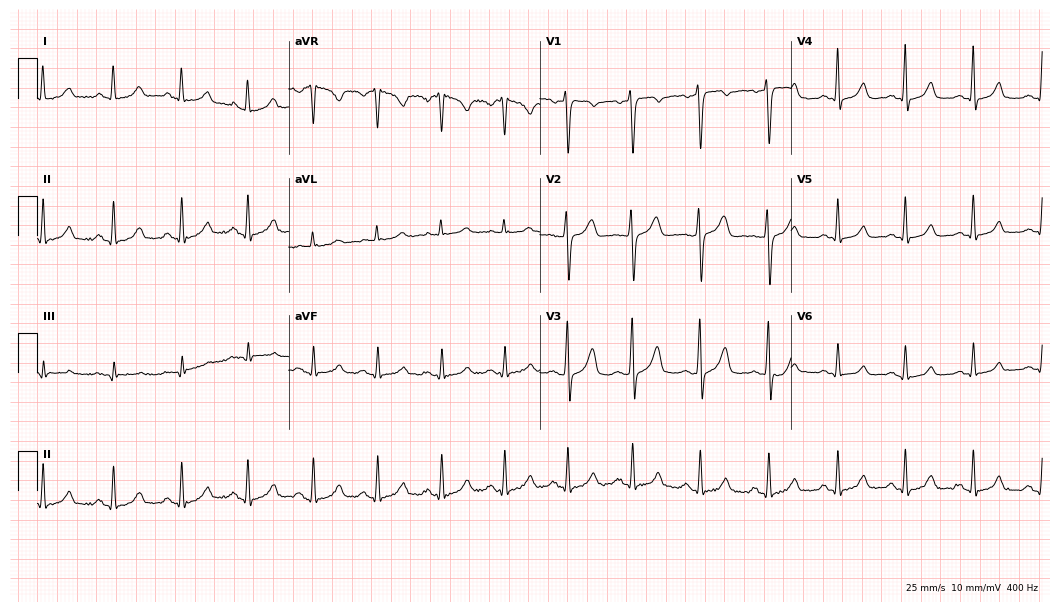
Resting 12-lead electrocardiogram (10.2-second recording at 400 Hz). Patient: a female, 38 years old. Read as a normal ECG.